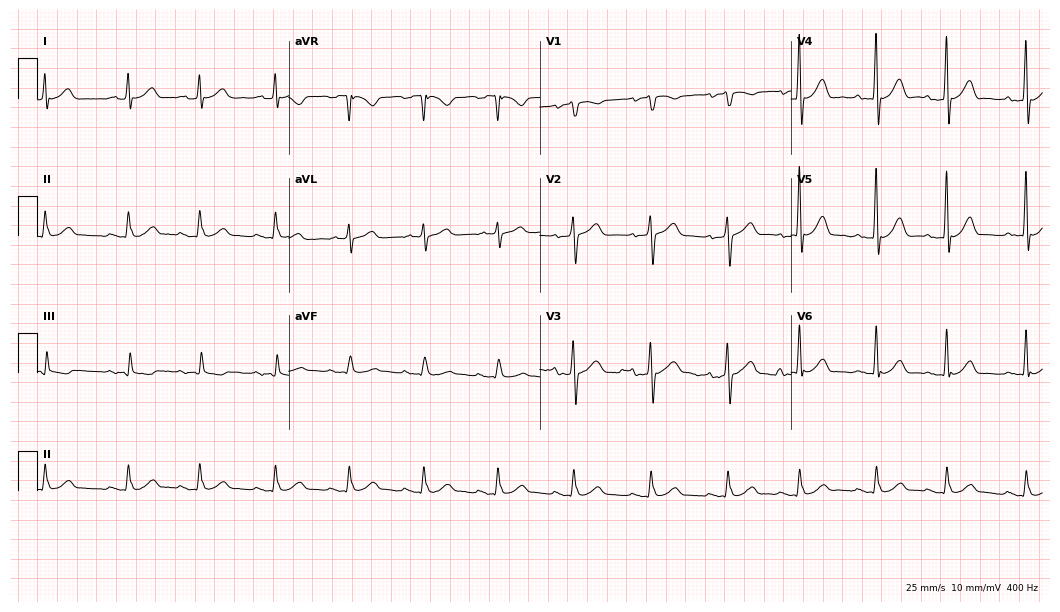
12-lead ECG (10.2-second recording at 400 Hz) from a 75-year-old male. Labelled as a normal ECG.